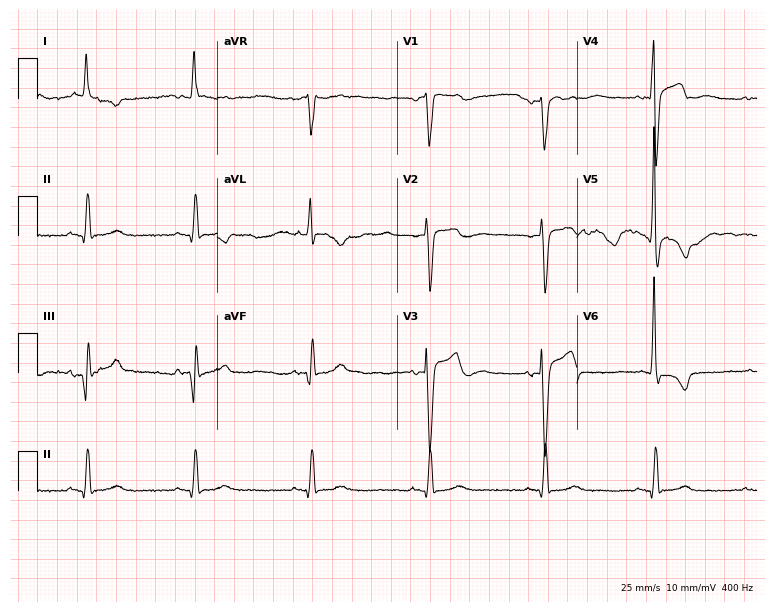
Standard 12-lead ECG recorded from a male patient, 80 years old. None of these six findings is recorded: first-degree AV block, right bundle branch block, left bundle branch block, sinus bradycardia, atrial fibrillation, sinus tachycardia. Findings outside these six are not listed.